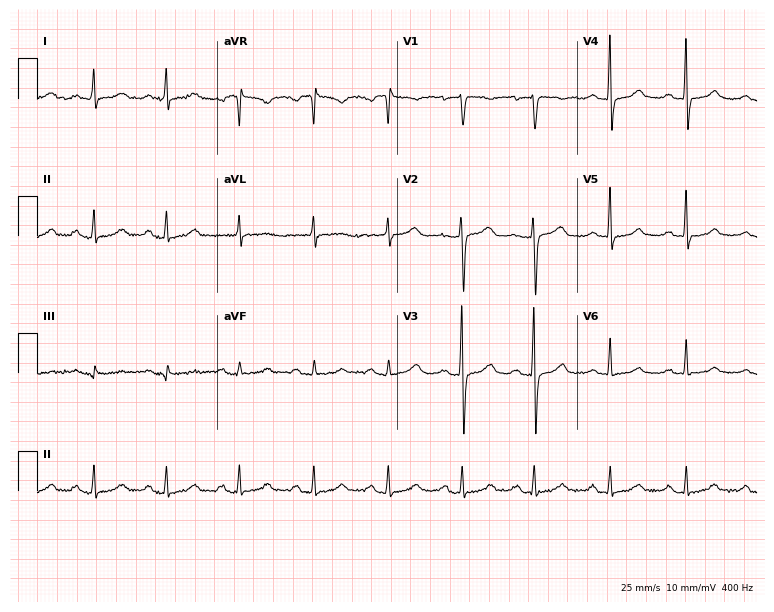
12-lead ECG from a female patient, 66 years old. Recorded interpretation: within normal limits.